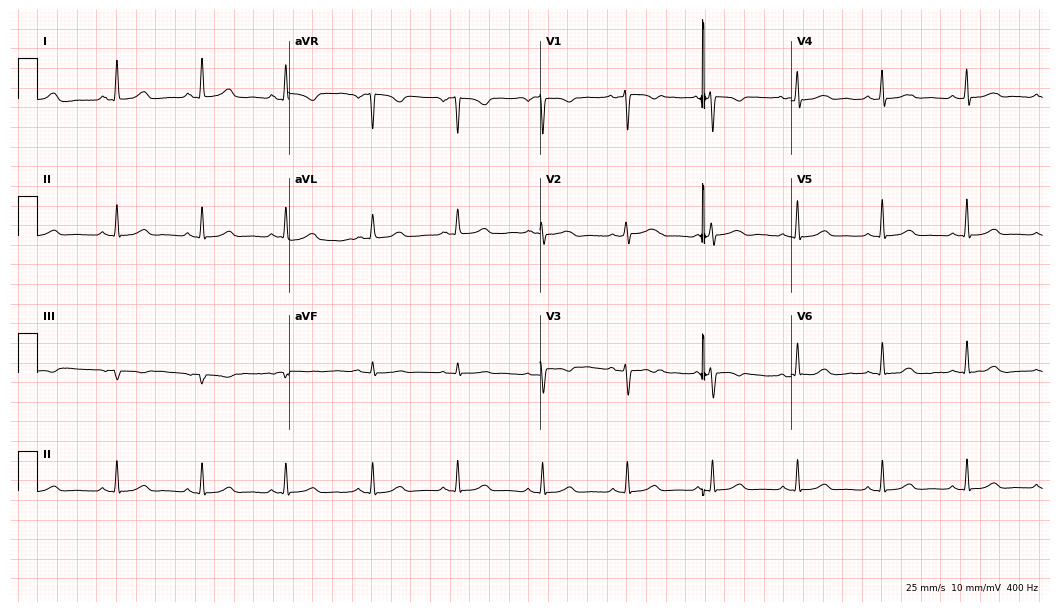
12-lead ECG (10.2-second recording at 400 Hz) from a female, 42 years old. Labelled as a normal ECG.